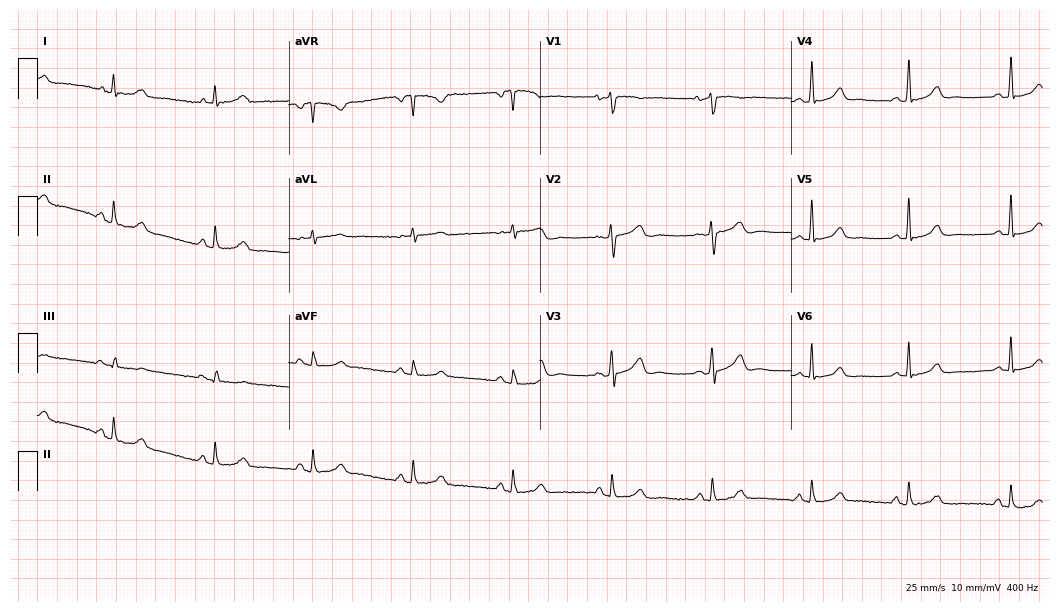
12-lead ECG from a 36-year-old woman. Labelled as a normal ECG.